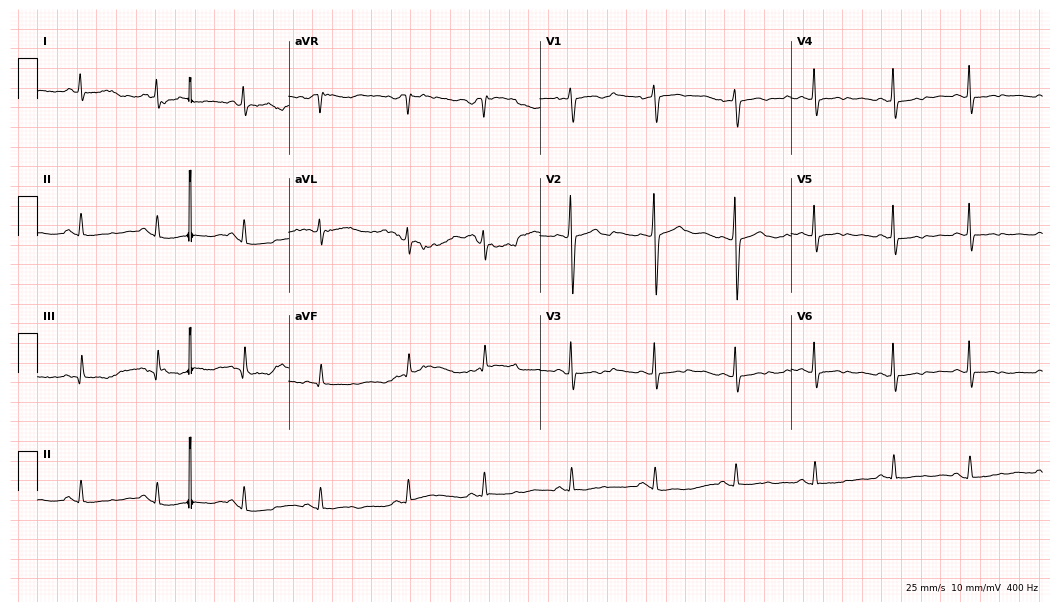
Electrocardiogram, a 73-year-old female. Of the six screened findings (first-degree AV block, right bundle branch block (RBBB), left bundle branch block (LBBB), sinus bradycardia, atrial fibrillation (AF), sinus tachycardia), none is recorded. Findings outside these six are not listed.